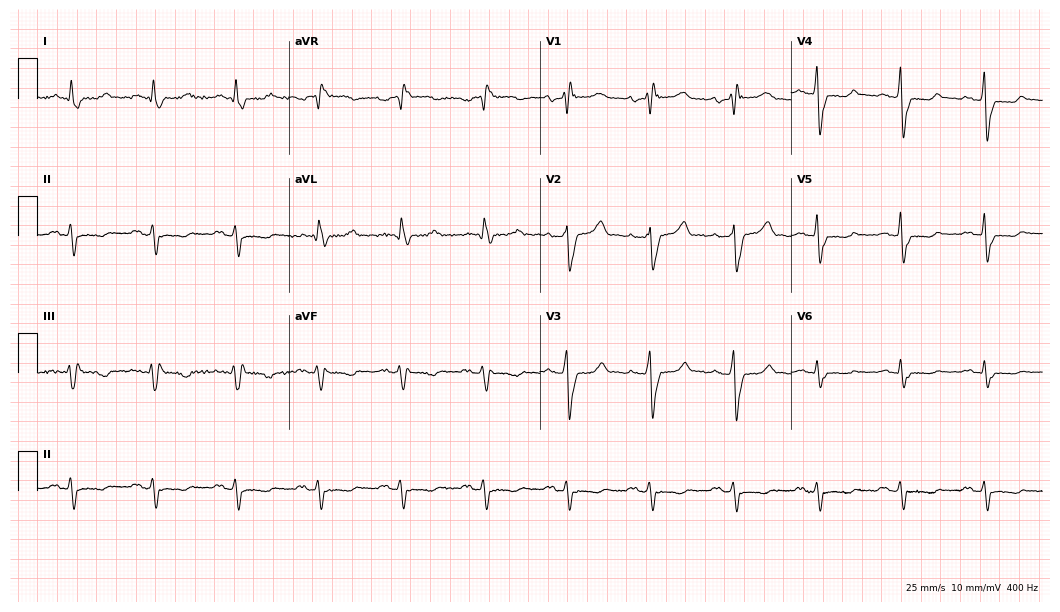
Resting 12-lead electrocardiogram. Patient: a 79-year-old male. The tracing shows right bundle branch block.